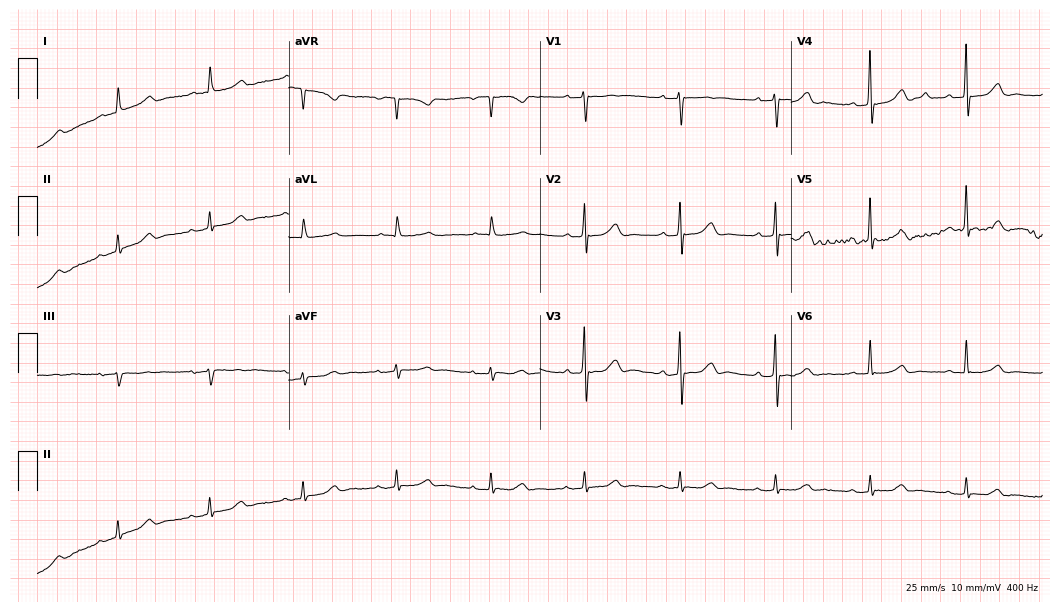
Standard 12-lead ECG recorded from a male patient, 87 years old (10.2-second recording at 400 Hz). Read as a normal ECG.